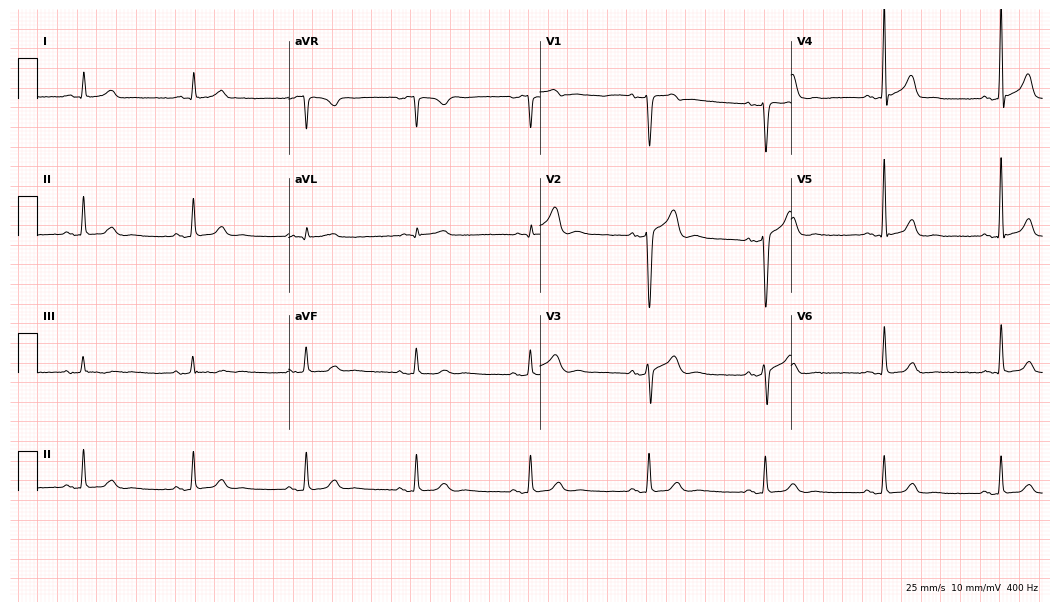
ECG — a male patient, 44 years old. Labelled as a normal ECG.